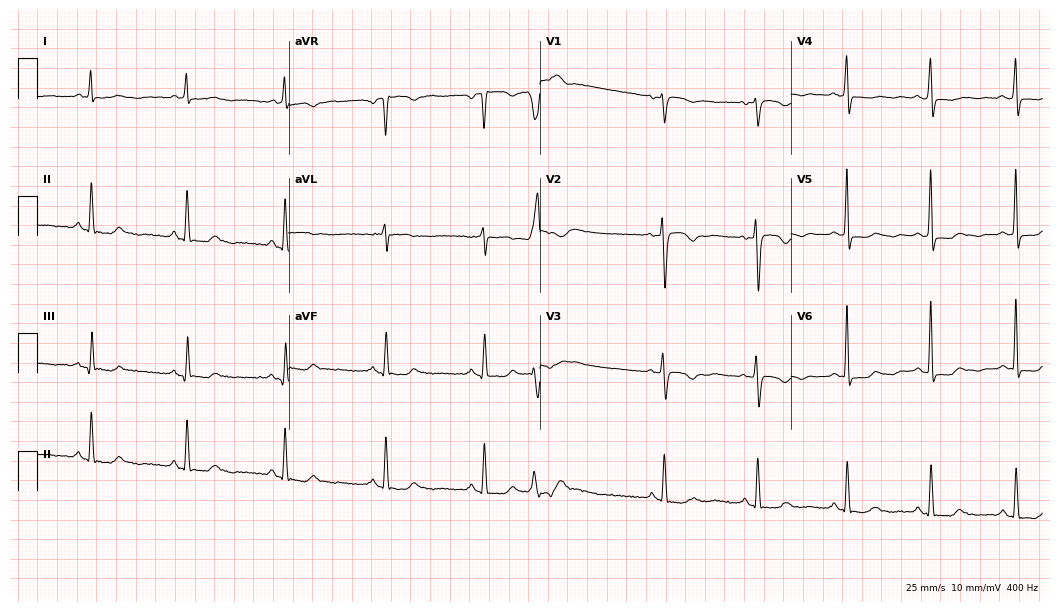
Electrocardiogram (10.2-second recording at 400 Hz), a 73-year-old female patient. Of the six screened findings (first-degree AV block, right bundle branch block (RBBB), left bundle branch block (LBBB), sinus bradycardia, atrial fibrillation (AF), sinus tachycardia), none is recorded. Only these six findings were labelled.